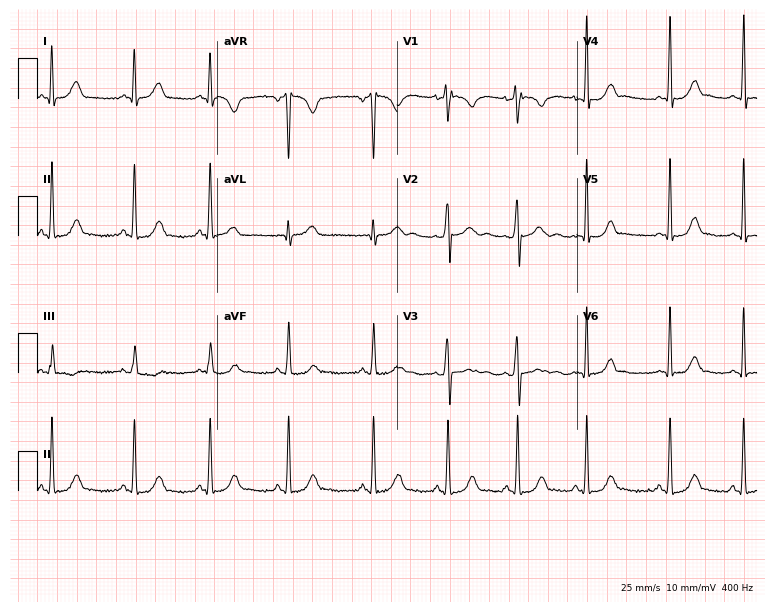
Resting 12-lead electrocardiogram. Patient: a female, 24 years old. Read as a normal ECG.